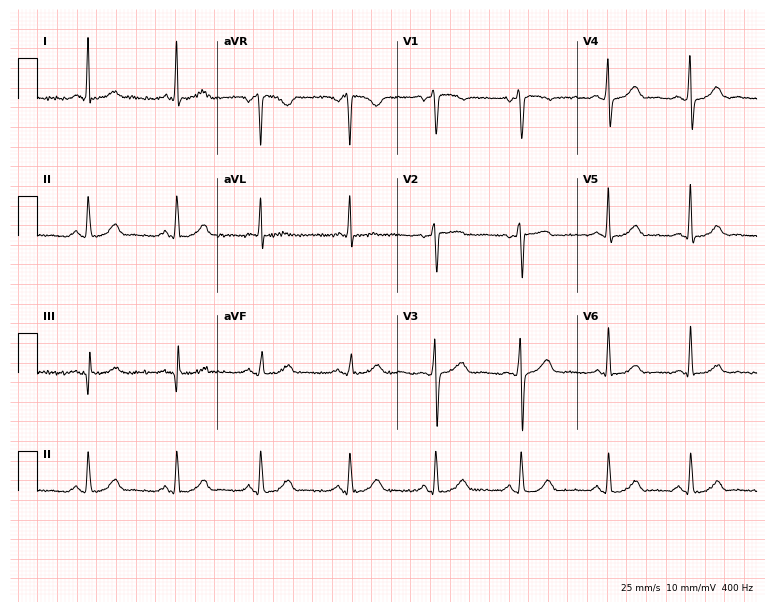
12-lead ECG (7.3-second recording at 400 Hz) from a 38-year-old female. Screened for six findings — first-degree AV block, right bundle branch block, left bundle branch block, sinus bradycardia, atrial fibrillation, sinus tachycardia — none is recorded. Only these six findings were labelled.